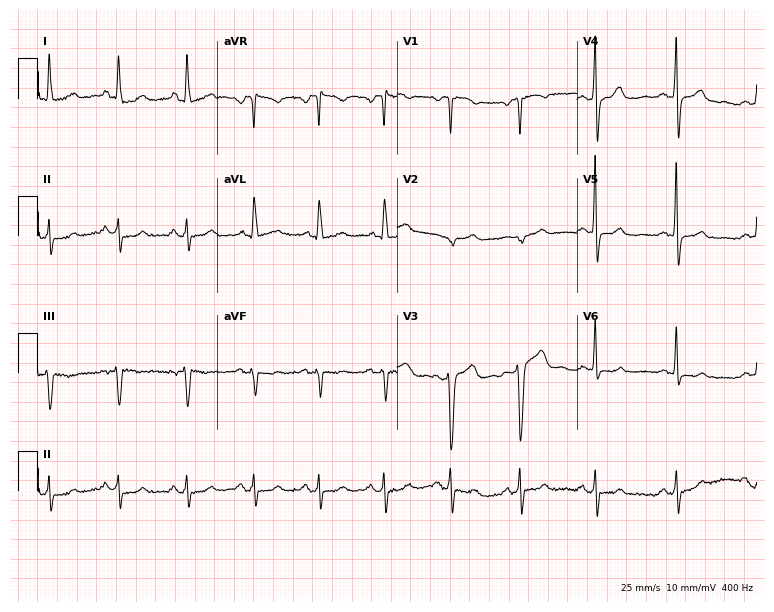
Resting 12-lead electrocardiogram. Patient: a woman, 51 years old. None of these six findings is recorded: first-degree AV block, right bundle branch block, left bundle branch block, sinus bradycardia, atrial fibrillation, sinus tachycardia. Other findings, if any, are not listed.